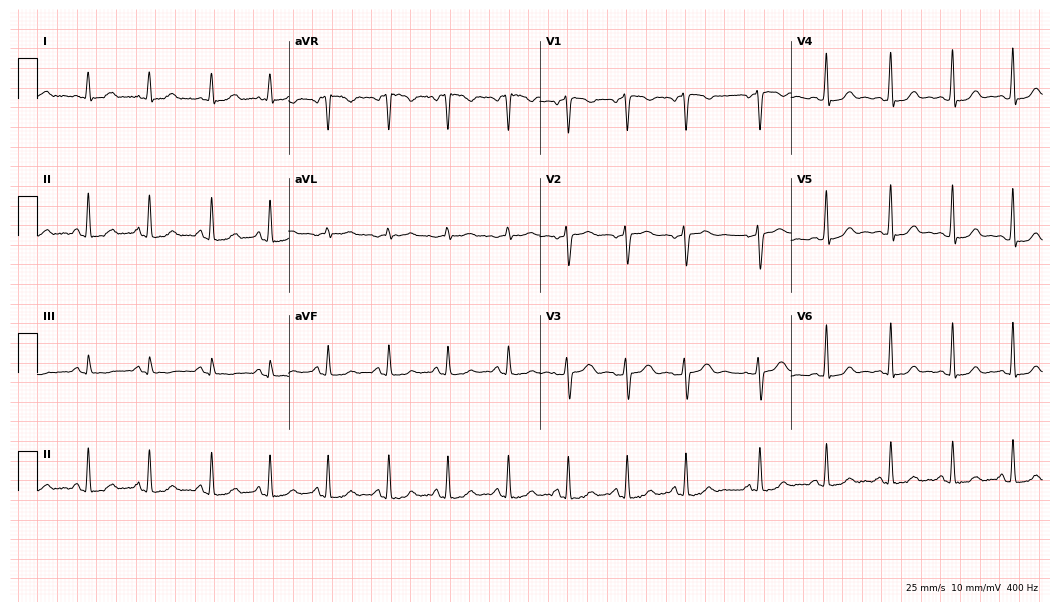
Resting 12-lead electrocardiogram (10.2-second recording at 400 Hz). Patient: a 29-year-old female. None of these six findings is recorded: first-degree AV block, right bundle branch block, left bundle branch block, sinus bradycardia, atrial fibrillation, sinus tachycardia.